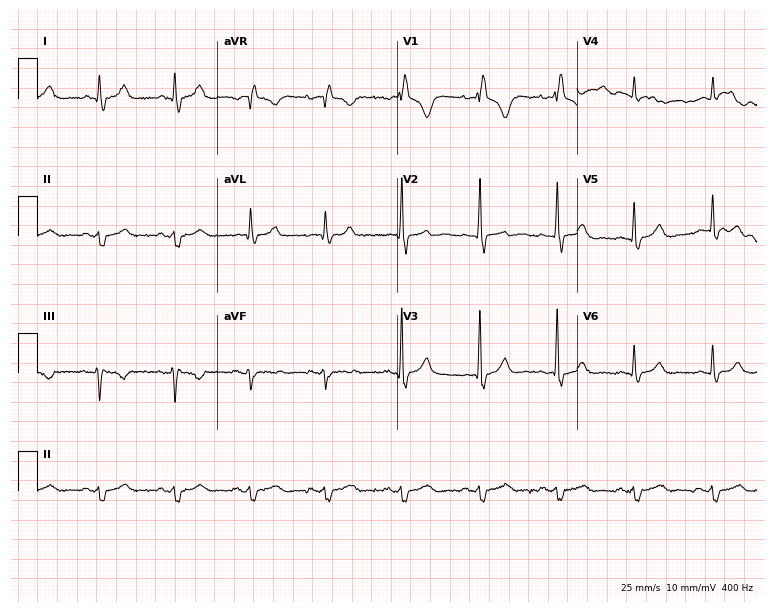
12-lead ECG from a female, 33 years old (7.3-second recording at 400 Hz). Shows right bundle branch block (RBBB).